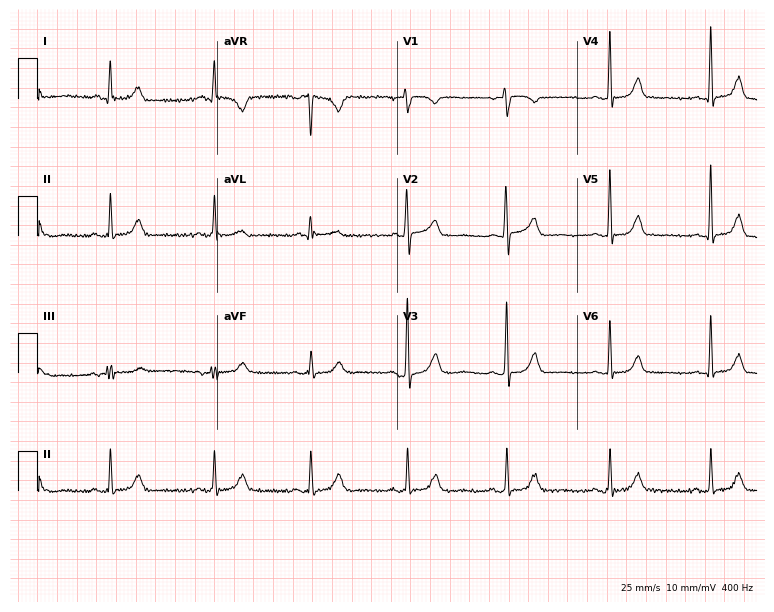
Resting 12-lead electrocardiogram. Patient: a 69-year-old woman. Read as a normal ECG.